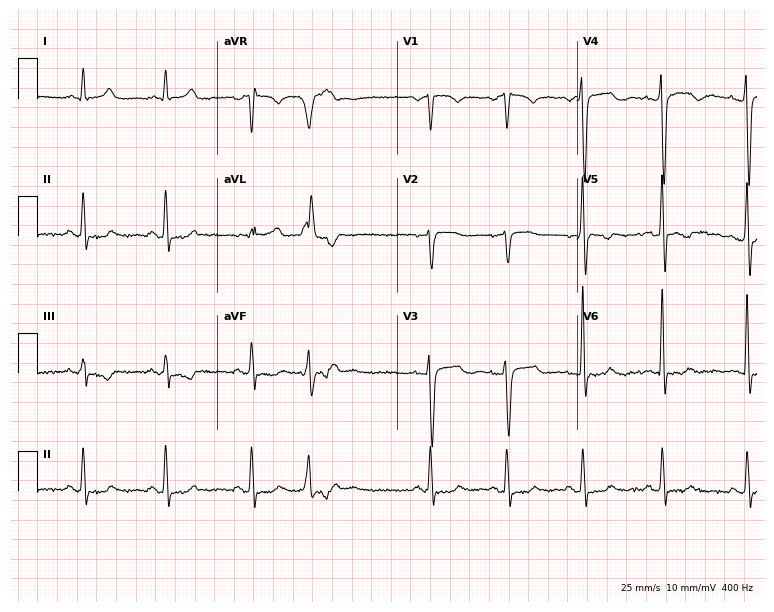
12-lead ECG from a male patient, 52 years old (7.3-second recording at 400 Hz). No first-degree AV block, right bundle branch block, left bundle branch block, sinus bradycardia, atrial fibrillation or sinus tachycardia recorded for this tracing.